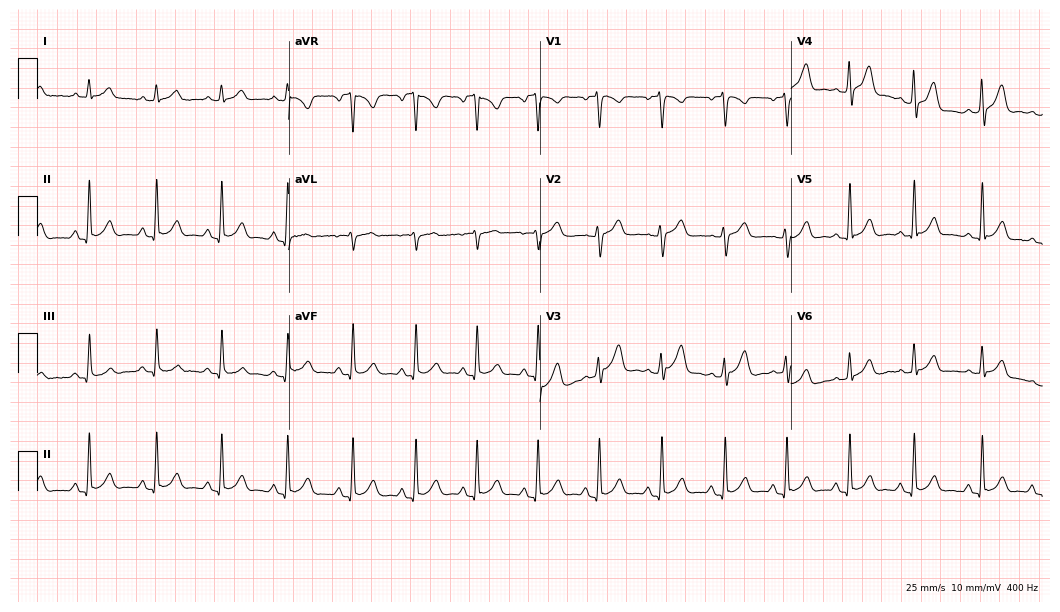
Resting 12-lead electrocardiogram. Patient: a woman, 23 years old. None of these six findings is recorded: first-degree AV block, right bundle branch block, left bundle branch block, sinus bradycardia, atrial fibrillation, sinus tachycardia. Other findings, if any, are not listed.